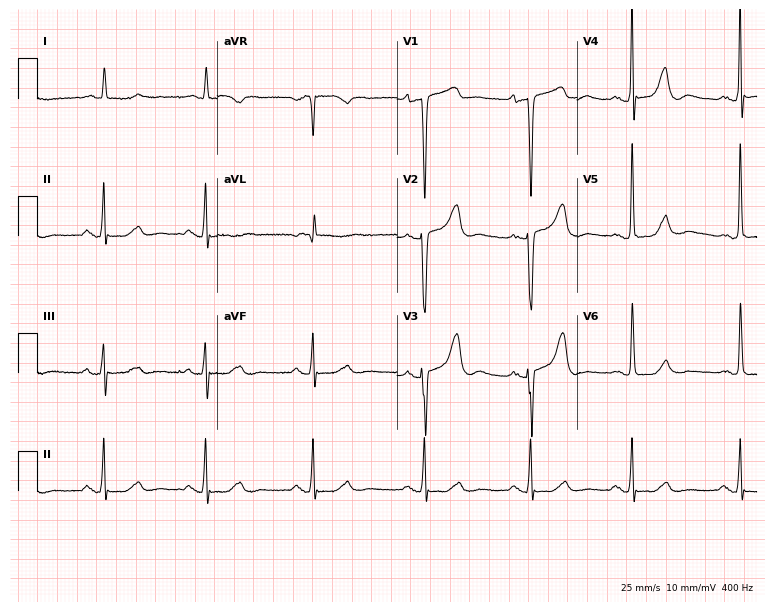
ECG — a female, 83 years old. Screened for six findings — first-degree AV block, right bundle branch block (RBBB), left bundle branch block (LBBB), sinus bradycardia, atrial fibrillation (AF), sinus tachycardia — none is recorded. Findings outside these six are not listed.